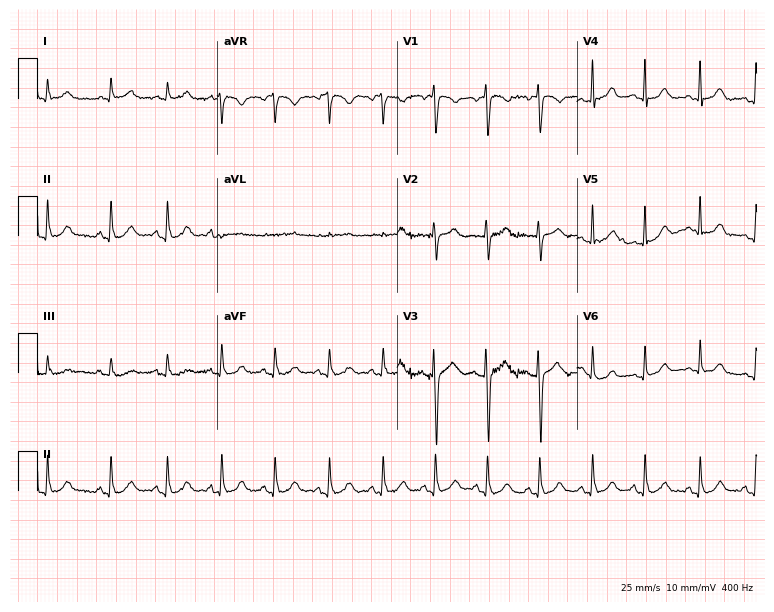
Resting 12-lead electrocardiogram. Patient: a female, 27 years old. None of these six findings is recorded: first-degree AV block, right bundle branch block, left bundle branch block, sinus bradycardia, atrial fibrillation, sinus tachycardia.